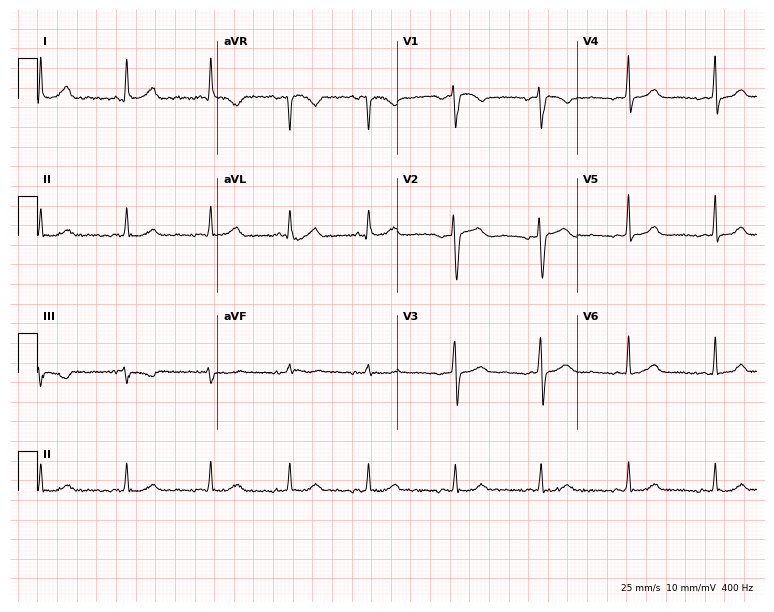
12-lead ECG (7.3-second recording at 400 Hz) from a female patient, 64 years old. Labelled as a normal ECG.